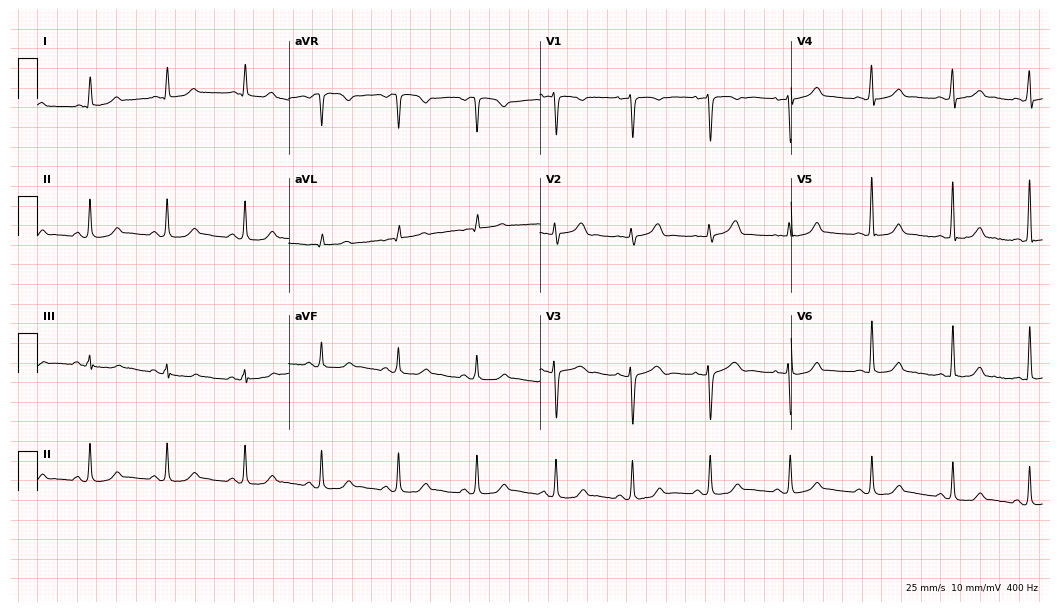
Electrocardiogram, a 46-year-old female. Overall reading on record: normal ECG.